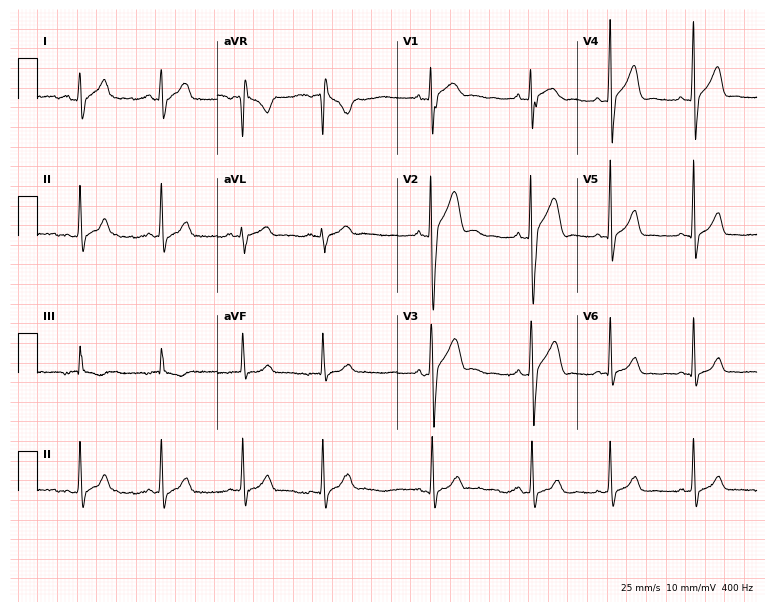
Electrocardiogram, a 20-year-old man. Of the six screened findings (first-degree AV block, right bundle branch block, left bundle branch block, sinus bradycardia, atrial fibrillation, sinus tachycardia), none is recorded.